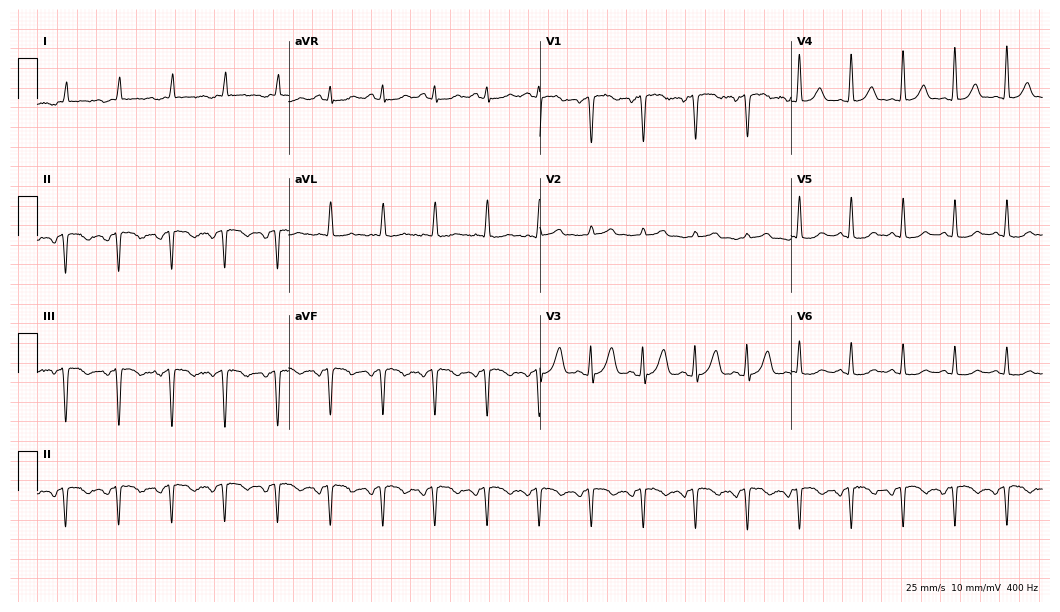
12-lead ECG from a 58-year-old woman. Screened for six findings — first-degree AV block, right bundle branch block (RBBB), left bundle branch block (LBBB), sinus bradycardia, atrial fibrillation (AF), sinus tachycardia — none is recorded.